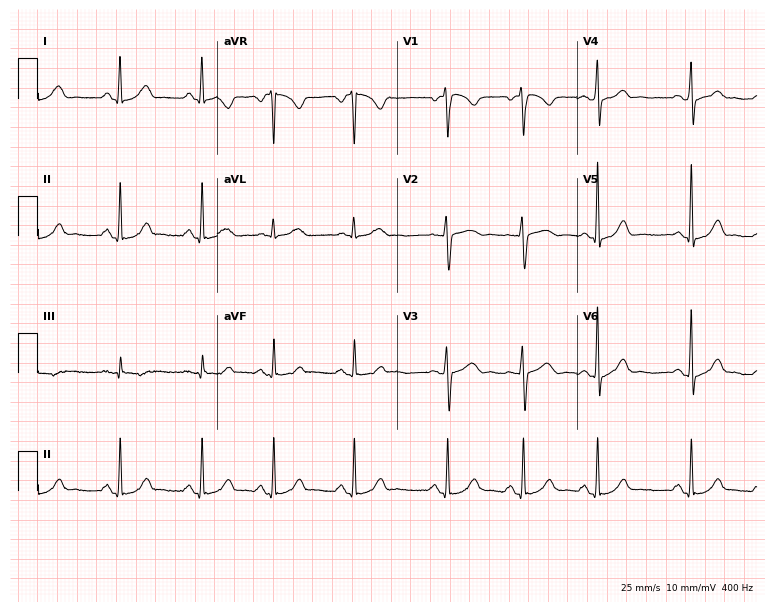
12-lead ECG from a woman, 33 years old. Labelled as a normal ECG.